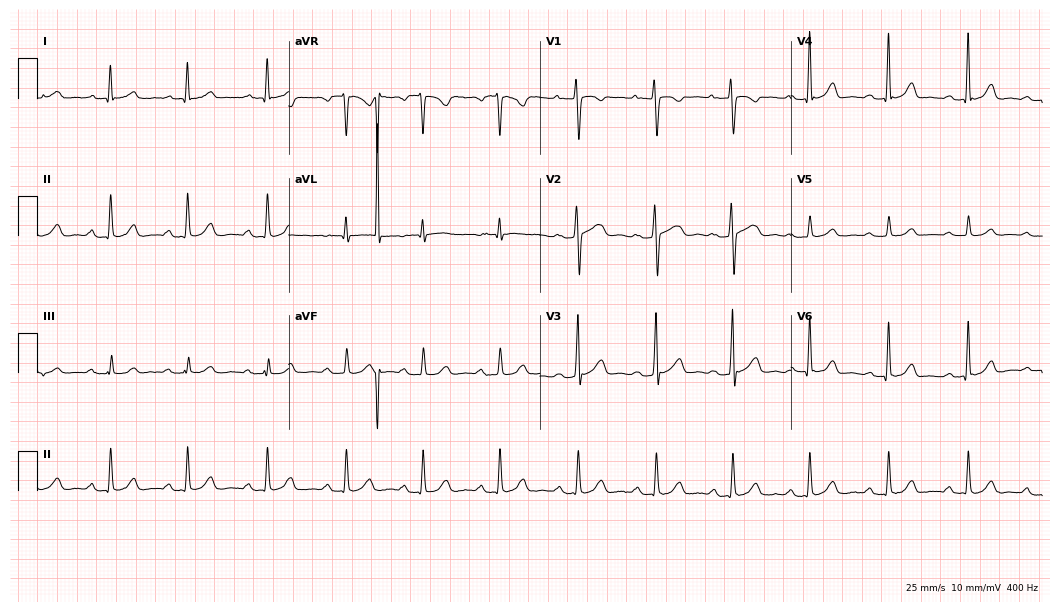
Electrocardiogram (10.2-second recording at 400 Hz), a 27-year-old female. Of the six screened findings (first-degree AV block, right bundle branch block, left bundle branch block, sinus bradycardia, atrial fibrillation, sinus tachycardia), none is recorded. Findings outside these six are not listed.